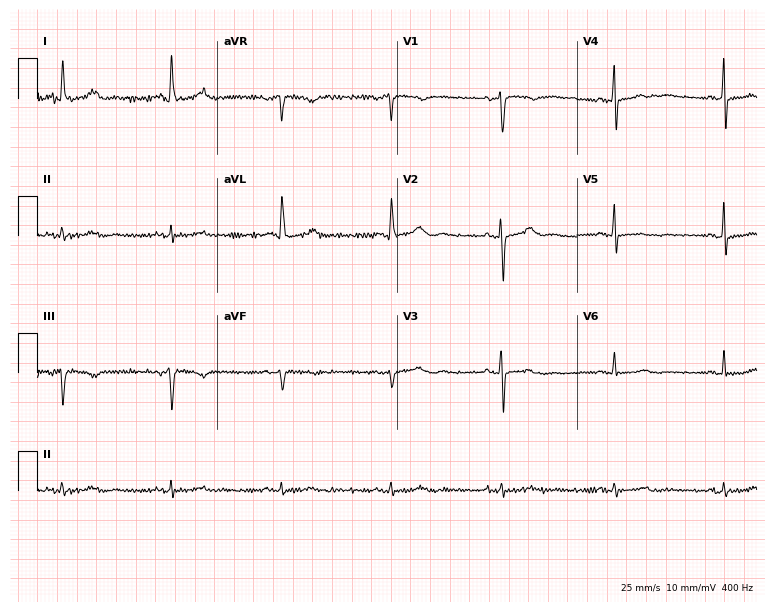
Electrocardiogram (7.3-second recording at 400 Hz), a 60-year-old female. Of the six screened findings (first-degree AV block, right bundle branch block, left bundle branch block, sinus bradycardia, atrial fibrillation, sinus tachycardia), none is recorded.